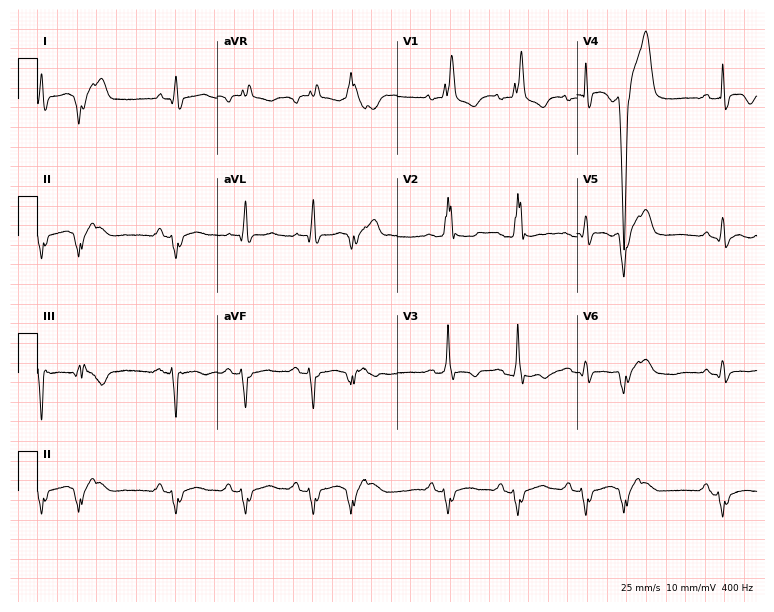
12-lead ECG from a 58-year-old man (7.3-second recording at 400 Hz). Shows right bundle branch block.